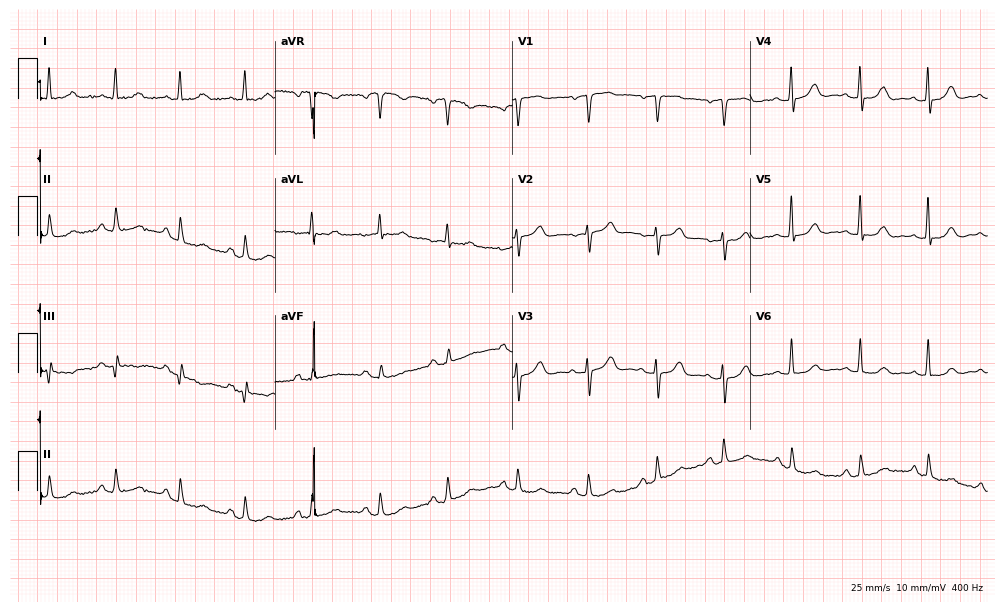
ECG (9.7-second recording at 400 Hz) — a female, 59 years old. Screened for six findings — first-degree AV block, right bundle branch block, left bundle branch block, sinus bradycardia, atrial fibrillation, sinus tachycardia — none is recorded. Findings outside these six are not listed.